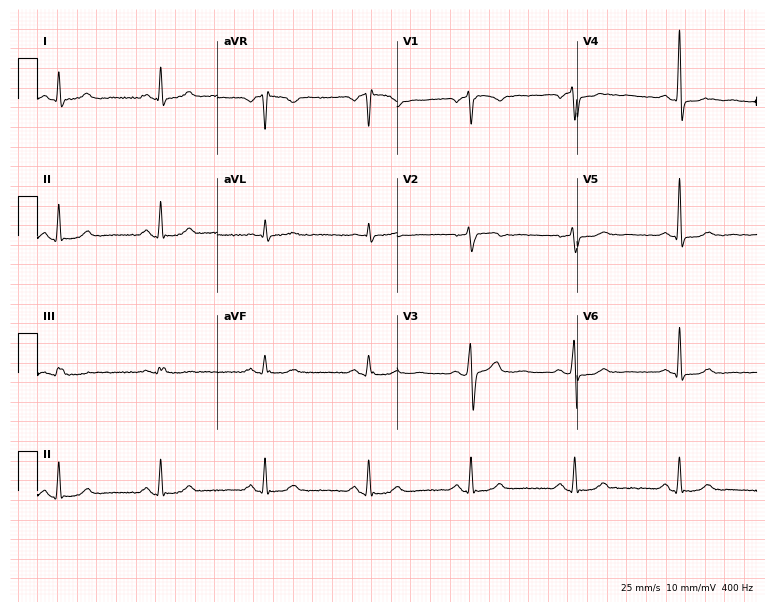
Resting 12-lead electrocardiogram. Patient: a 44-year-old man. None of these six findings is recorded: first-degree AV block, right bundle branch block, left bundle branch block, sinus bradycardia, atrial fibrillation, sinus tachycardia.